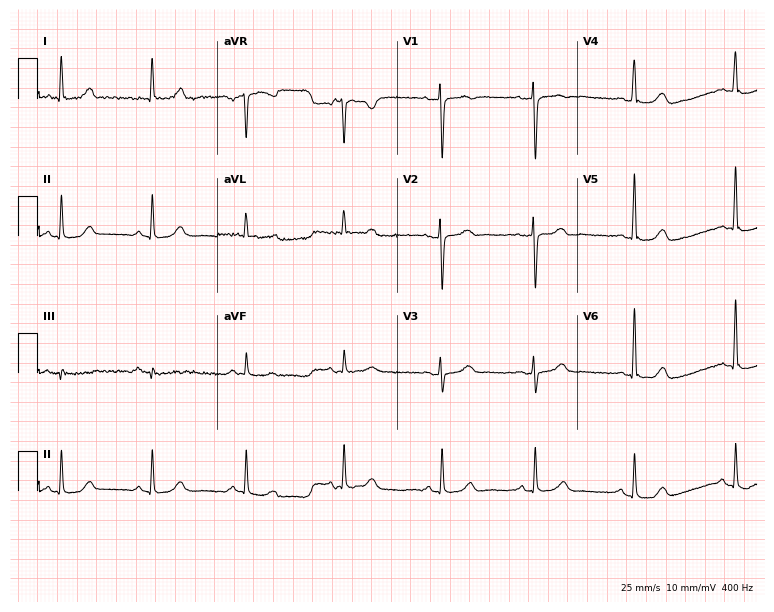
12-lead ECG from a woman, 51 years old (7.3-second recording at 400 Hz). Recorded interpretation: within normal limits.